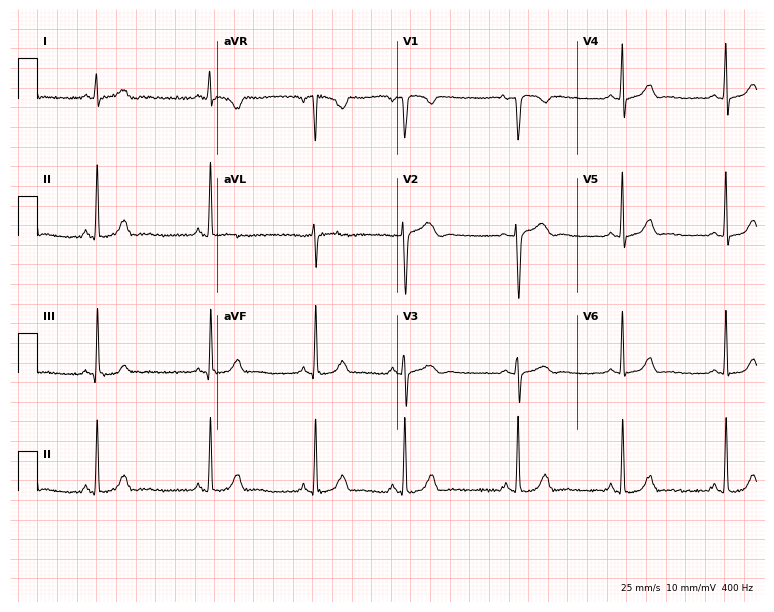
ECG — a 22-year-old female. Screened for six findings — first-degree AV block, right bundle branch block (RBBB), left bundle branch block (LBBB), sinus bradycardia, atrial fibrillation (AF), sinus tachycardia — none is recorded.